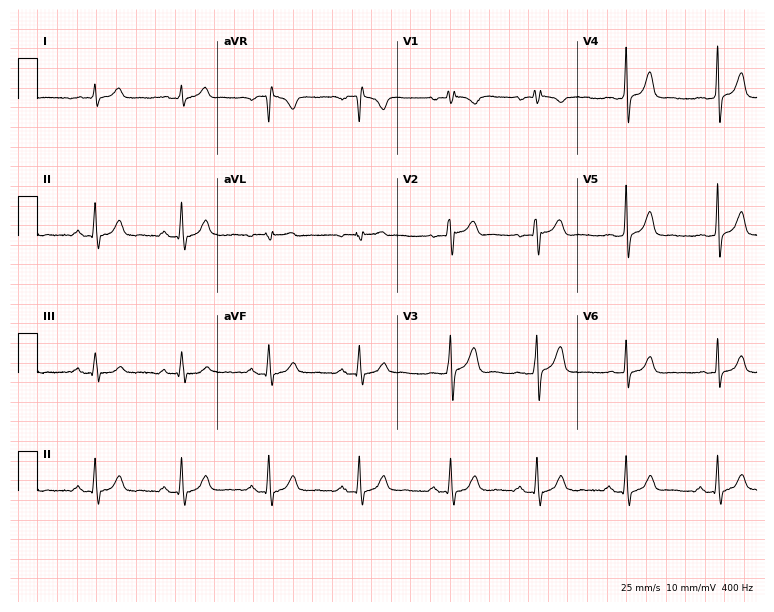
ECG — a male patient, 32 years old. Screened for six findings — first-degree AV block, right bundle branch block, left bundle branch block, sinus bradycardia, atrial fibrillation, sinus tachycardia — none is recorded.